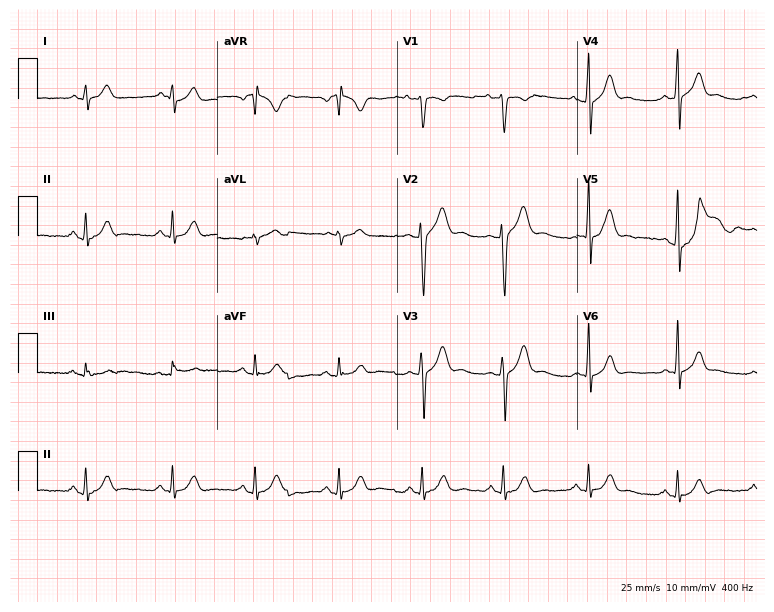
ECG (7.3-second recording at 400 Hz) — a male patient, 26 years old. Labelled as a normal ECG.